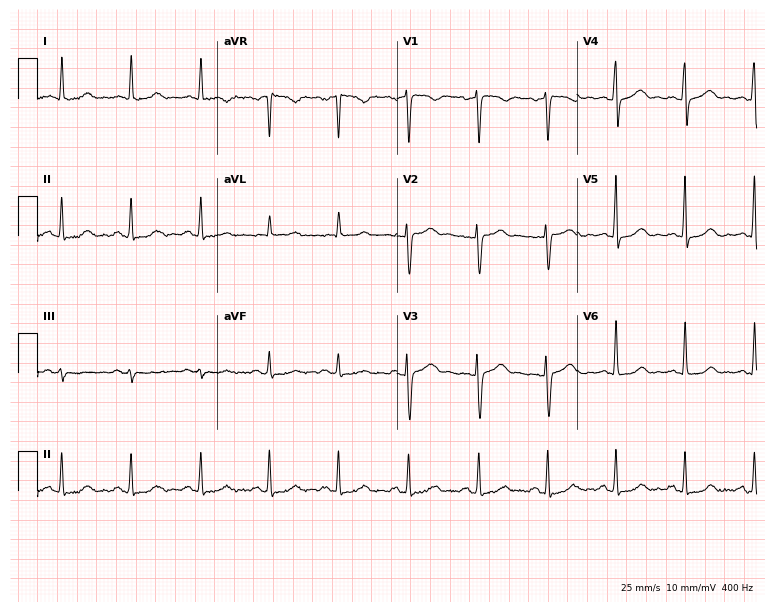
ECG — a 51-year-old female patient. Labelled as a normal ECG.